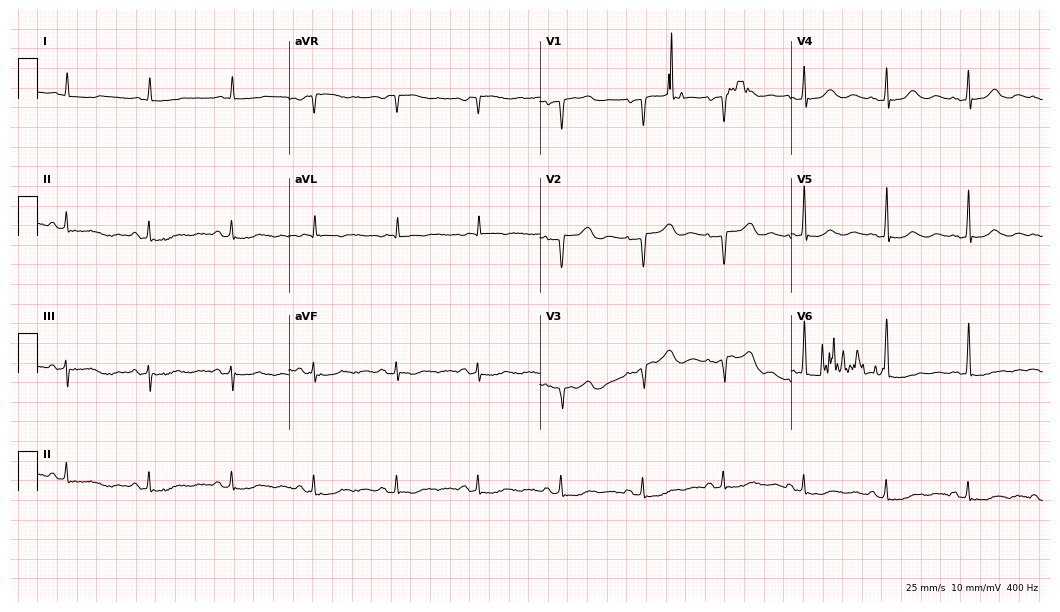
ECG (10.2-second recording at 400 Hz) — an 83-year-old female patient. Labelled as a normal ECG.